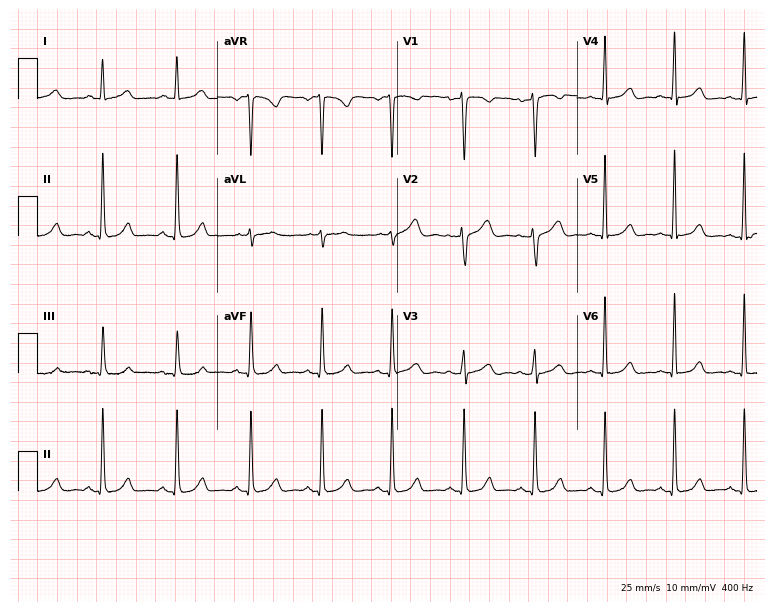
ECG — a woman, 47 years old. Labelled as a normal ECG.